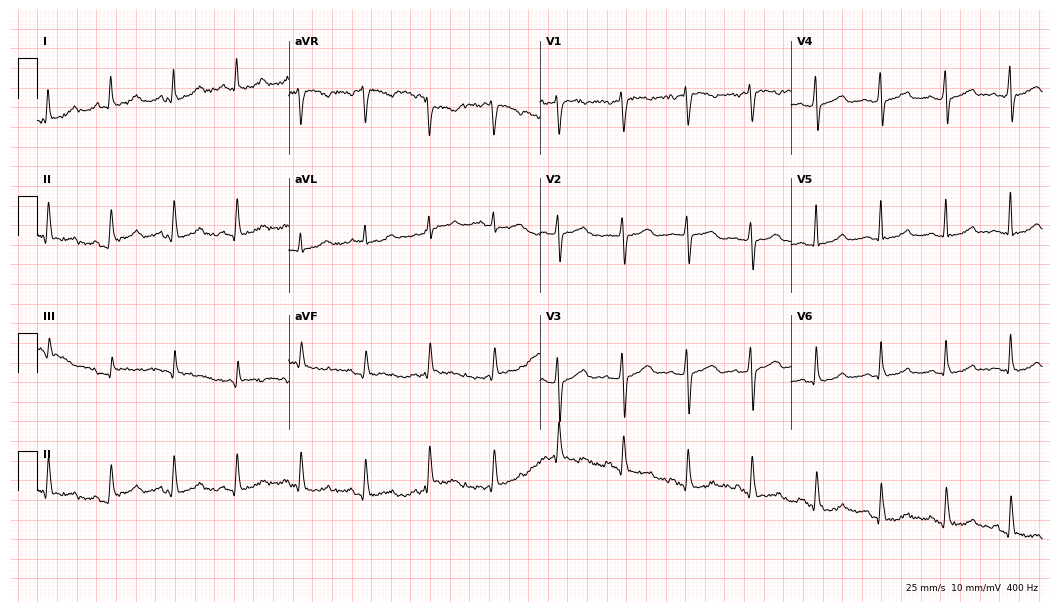
Electrocardiogram (10.2-second recording at 400 Hz), a 35-year-old woman. Of the six screened findings (first-degree AV block, right bundle branch block, left bundle branch block, sinus bradycardia, atrial fibrillation, sinus tachycardia), none is recorded. Only these six findings were labelled.